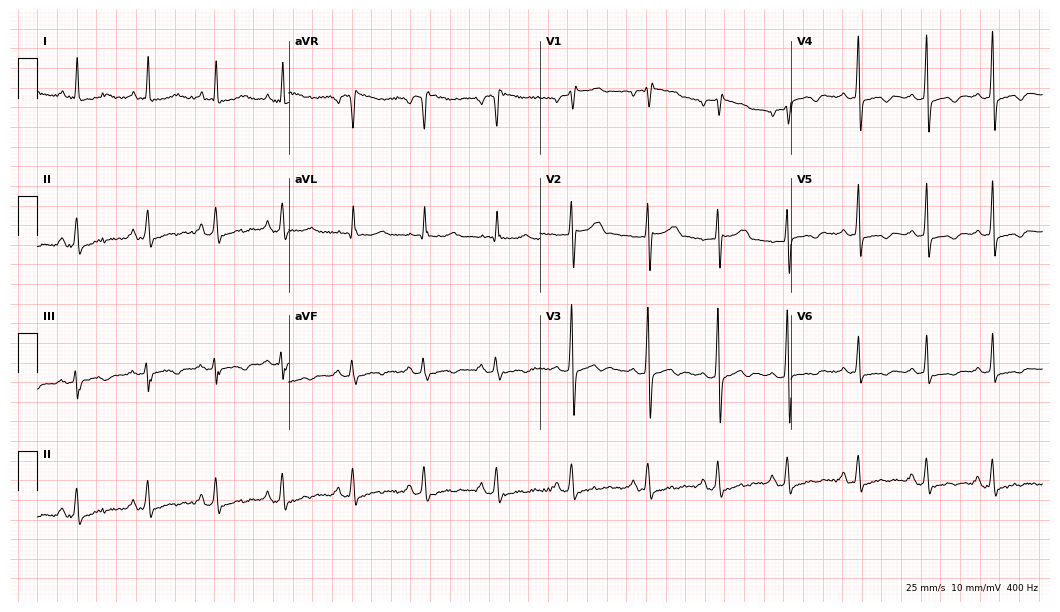
ECG — a 42-year-old female patient. Screened for six findings — first-degree AV block, right bundle branch block (RBBB), left bundle branch block (LBBB), sinus bradycardia, atrial fibrillation (AF), sinus tachycardia — none is recorded.